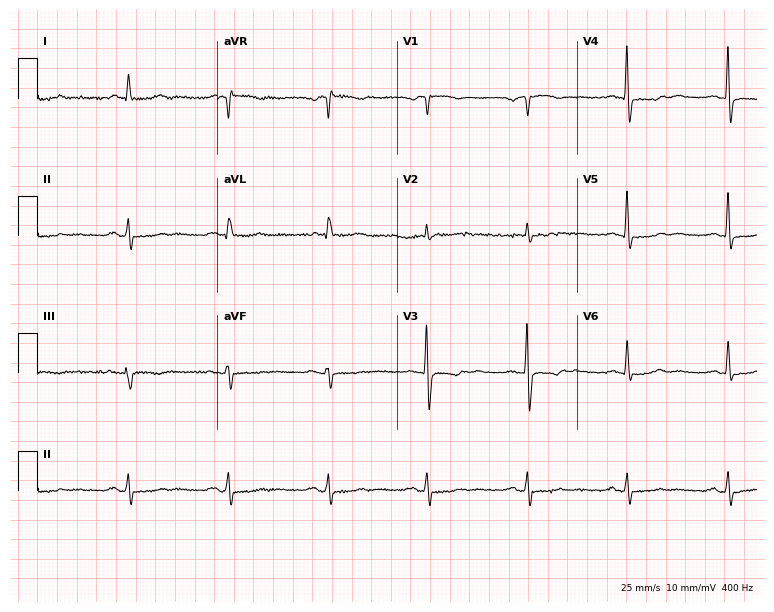
Resting 12-lead electrocardiogram (7.3-second recording at 400 Hz). Patient: a 77-year-old male. None of these six findings is recorded: first-degree AV block, right bundle branch block (RBBB), left bundle branch block (LBBB), sinus bradycardia, atrial fibrillation (AF), sinus tachycardia. Only these six findings were labelled.